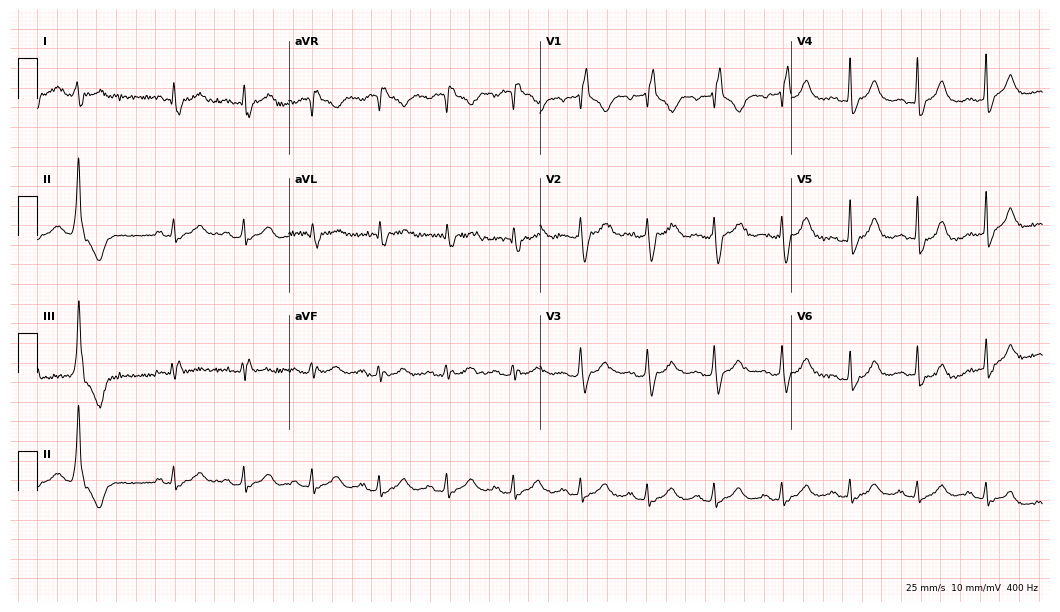
12-lead ECG (10.2-second recording at 400 Hz) from a 40-year-old female. Findings include right bundle branch block.